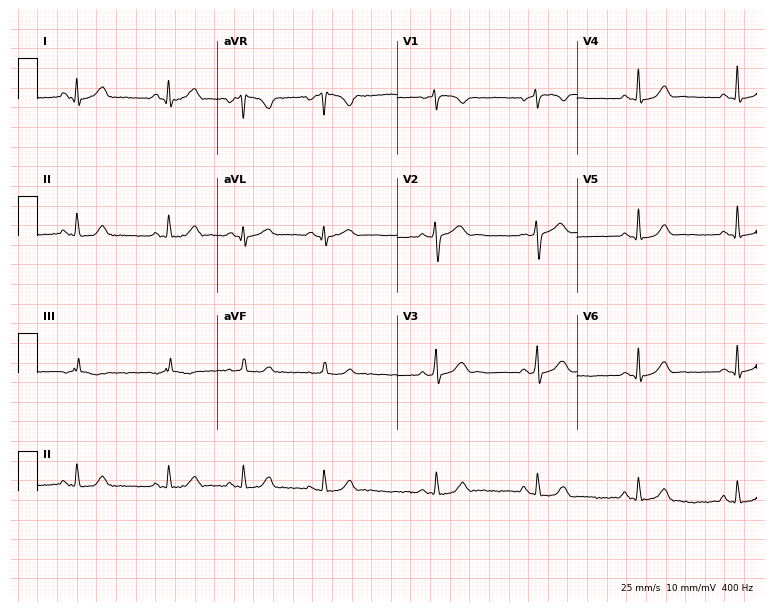
ECG — a 27-year-old woman. Screened for six findings — first-degree AV block, right bundle branch block (RBBB), left bundle branch block (LBBB), sinus bradycardia, atrial fibrillation (AF), sinus tachycardia — none is recorded.